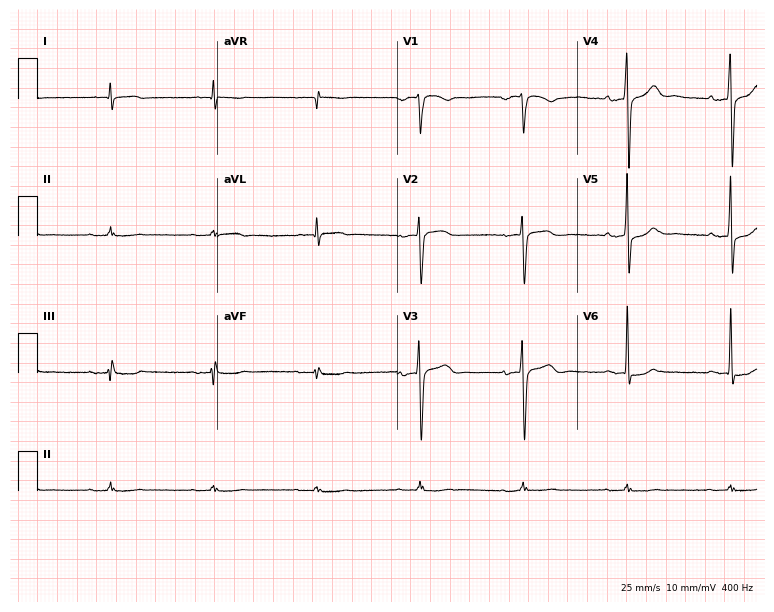
ECG (7.3-second recording at 400 Hz) — a male, 82 years old. Screened for six findings — first-degree AV block, right bundle branch block, left bundle branch block, sinus bradycardia, atrial fibrillation, sinus tachycardia — none is recorded.